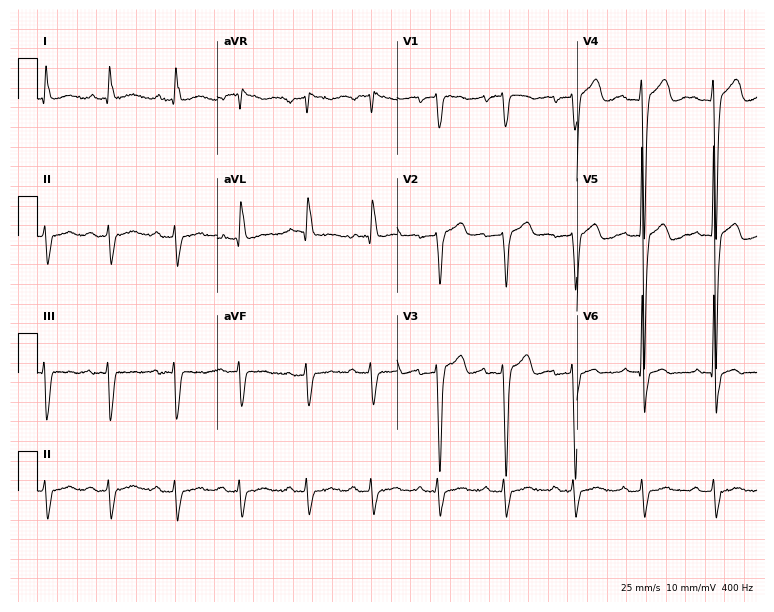
12-lead ECG from an 84-year-old male. No first-degree AV block, right bundle branch block, left bundle branch block, sinus bradycardia, atrial fibrillation or sinus tachycardia recorded for this tracing.